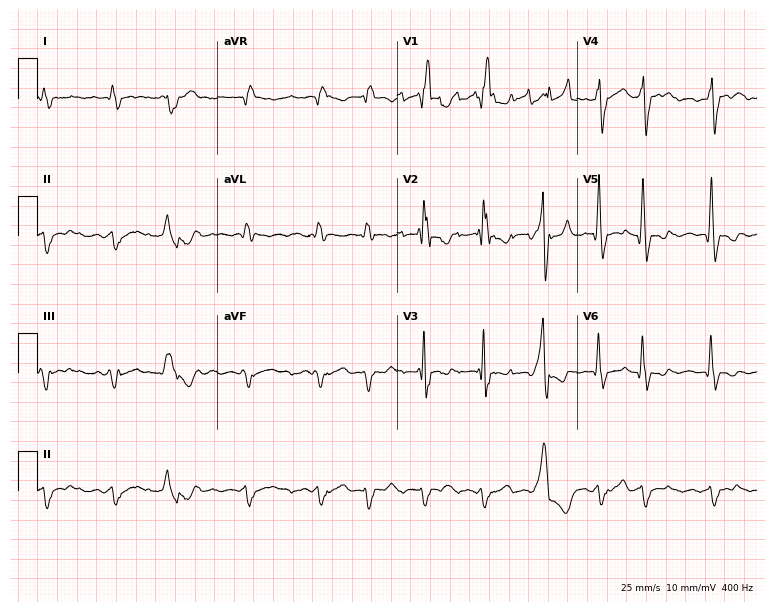
Electrocardiogram (7.3-second recording at 400 Hz), an 83-year-old male patient. Of the six screened findings (first-degree AV block, right bundle branch block, left bundle branch block, sinus bradycardia, atrial fibrillation, sinus tachycardia), none is recorded.